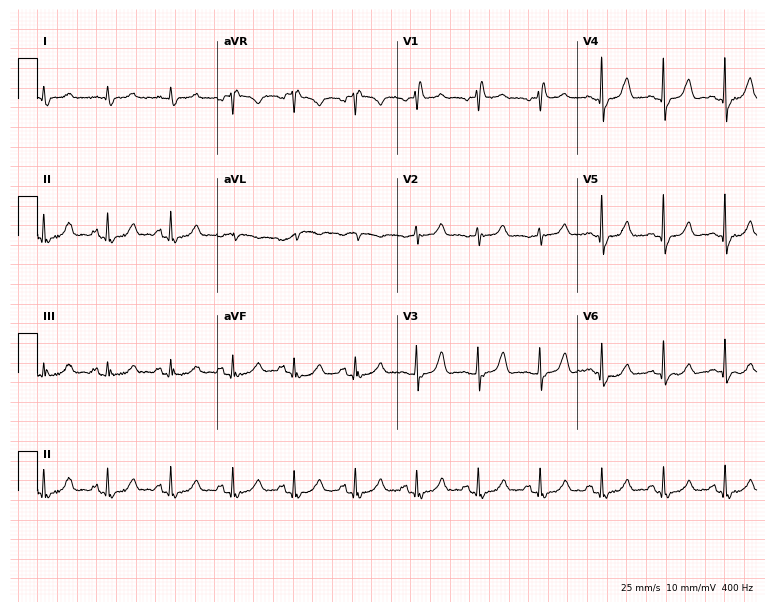
Electrocardiogram (7.3-second recording at 400 Hz), a 72-year-old man. Of the six screened findings (first-degree AV block, right bundle branch block (RBBB), left bundle branch block (LBBB), sinus bradycardia, atrial fibrillation (AF), sinus tachycardia), none is recorded.